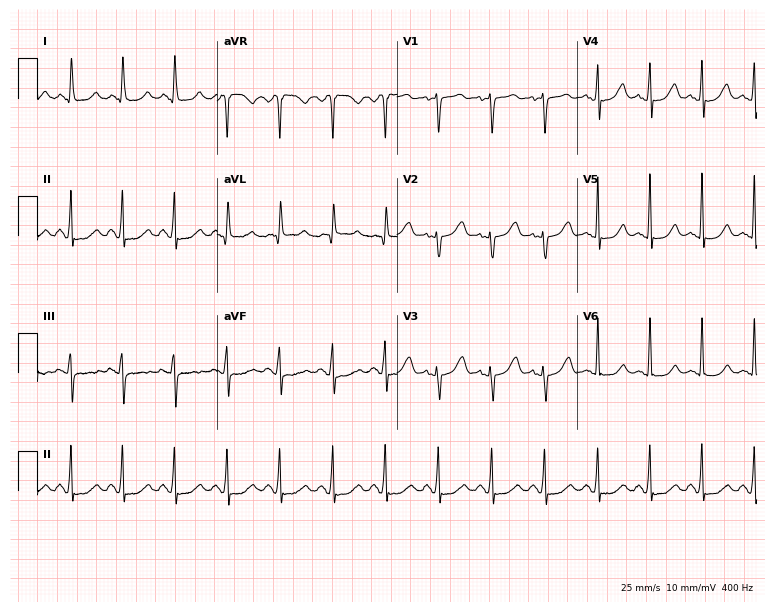
Standard 12-lead ECG recorded from a 61-year-old female patient (7.3-second recording at 400 Hz). The tracing shows sinus tachycardia (a sinus rate of 100 beats per minute or more).